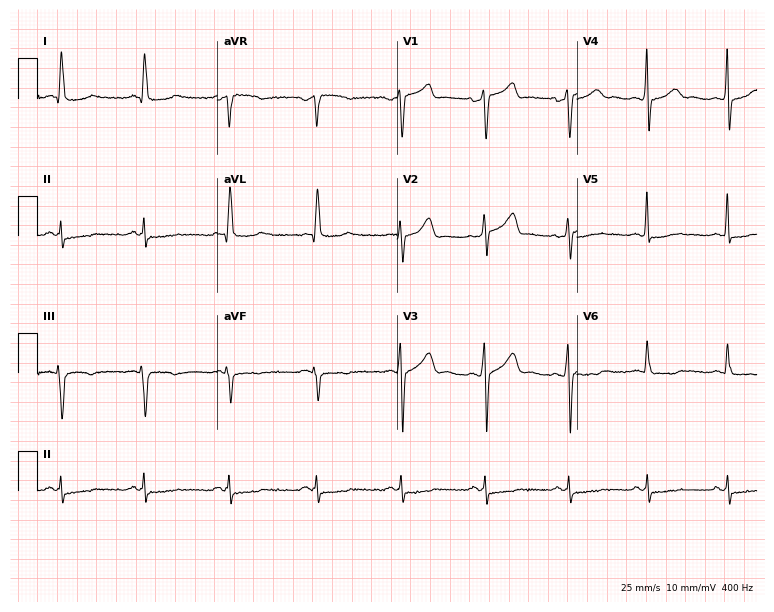
12-lead ECG (7.3-second recording at 400 Hz) from a 56-year-old male. Screened for six findings — first-degree AV block, right bundle branch block, left bundle branch block, sinus bradycardia, atrial fibrillation, sinus tachycardia — none is recorded.